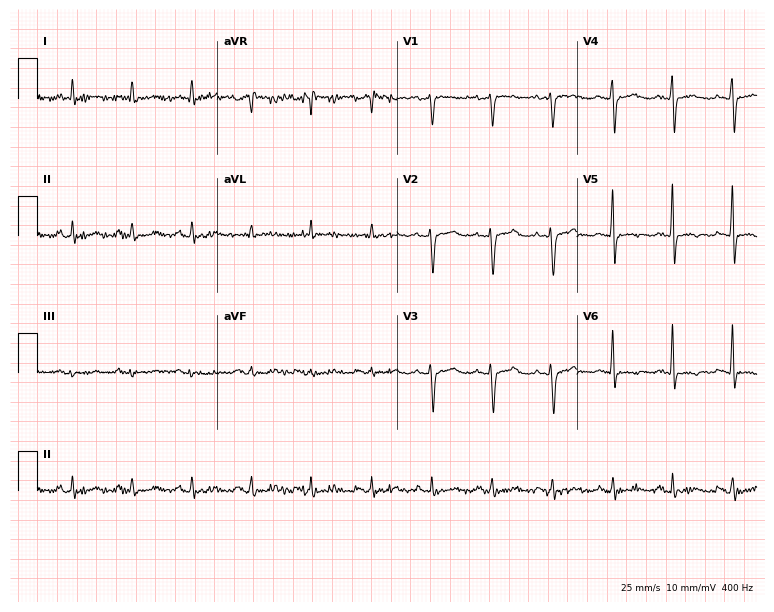
12-lead ECG (7.3-second recording at 400 Hz) from a female patient, 53 years old. Screened for six findings — first-degree AV block, right bundle branch block, left bundle branch block, sinus bradycardia, atrial fibrillation, sinus tachycardia — none is recorded. Only these six findings were labelled.